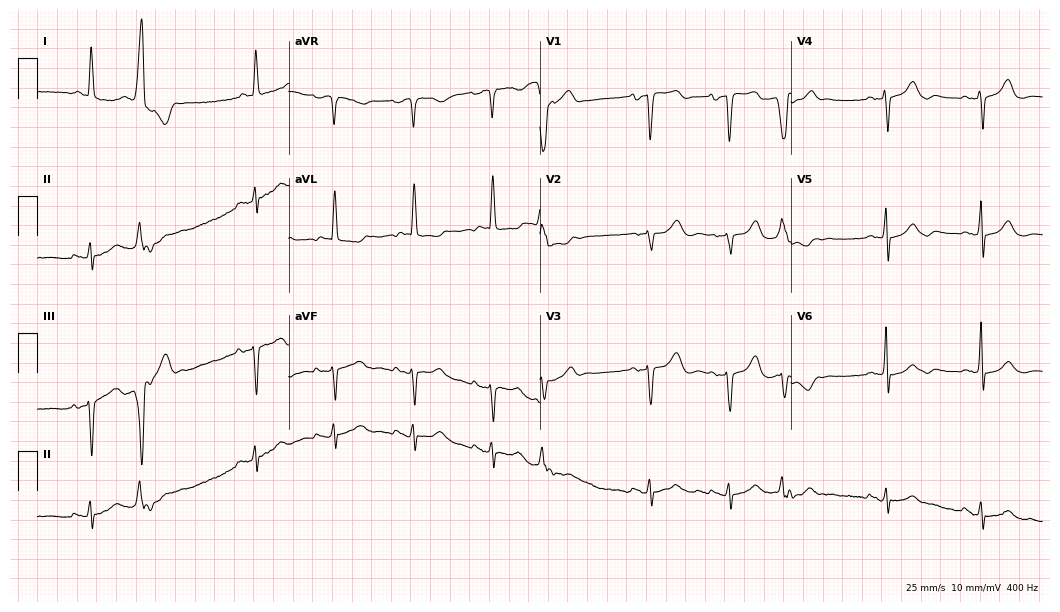
ECG (10.2-second recording at 400 Hz) — a female patient, 81 years old. Screened for six findings — first-degree AV block, right bundle branch block, left bundle branch block, sinus bradycardia, atrial fibrillation, sinus tachycardia — none is recorded. Other findings, if any, are not listed.